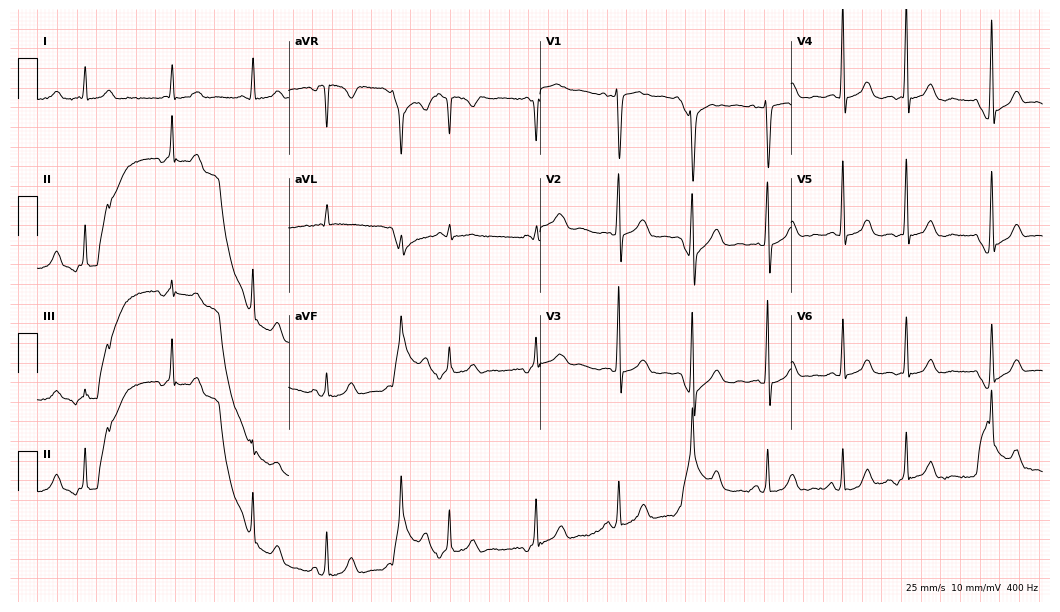
Standard 12-lead ECG recorded from a woman, 29 years old. None of these six findings is recorded: first-degree AV block, right bundle branch block, left bundle branch block, sinus bradycardia, atrial fibrillation, sinus tachycardia.